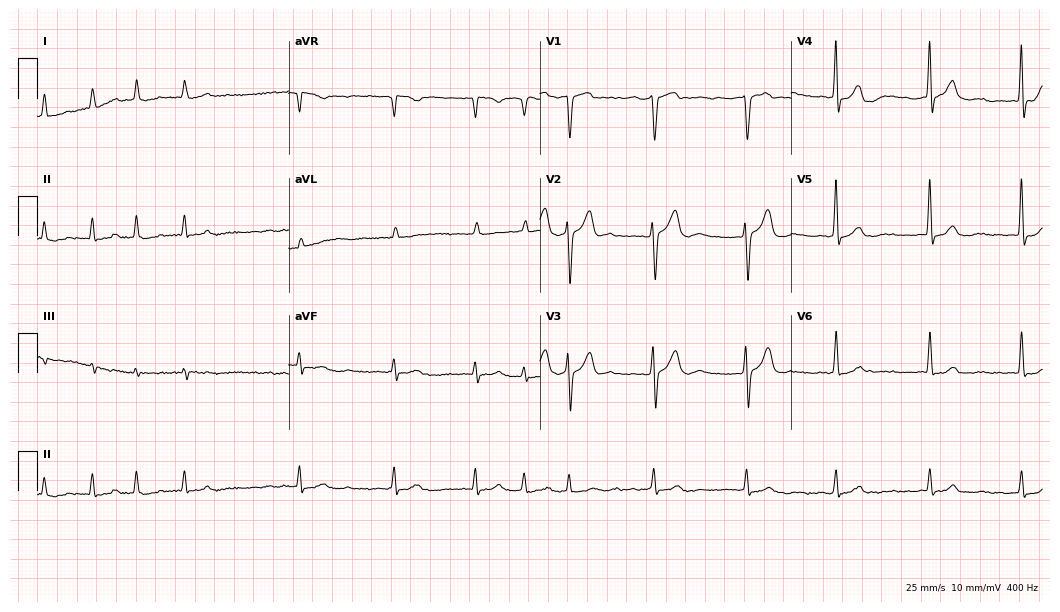
Standard 12-lead ECG recorded from a man, 84 years old (10.2-second recording at 400 Hz). The tracing shows atrial fibrillation (AF).